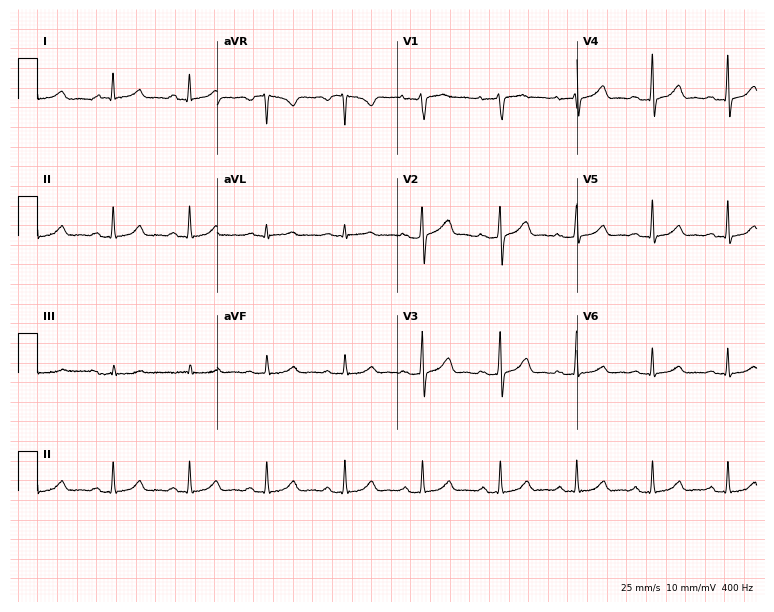
12-lead ECG from a 56-year-old female. Recorded interpretation: within normal limits.